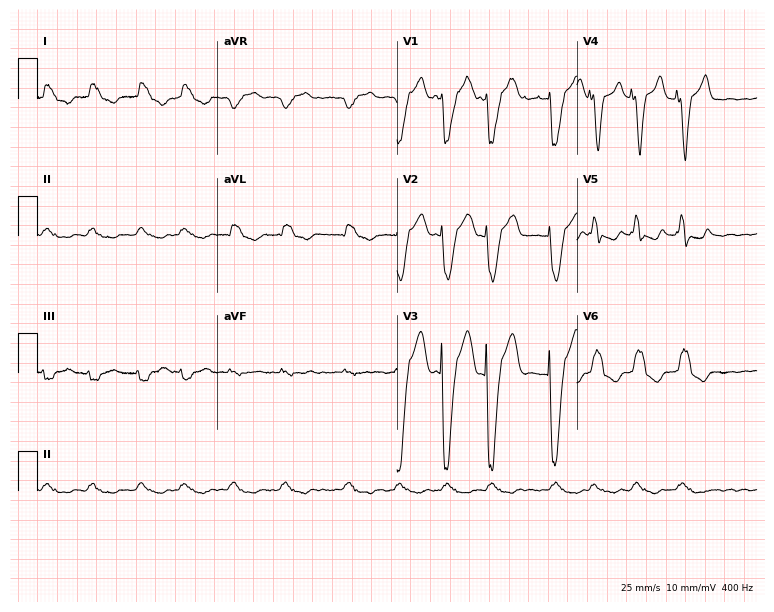
ECG (7.3-second recording at 400 Hz) — a man, 80 years old. Findings include left bundle branch block, atrial fibrillation.